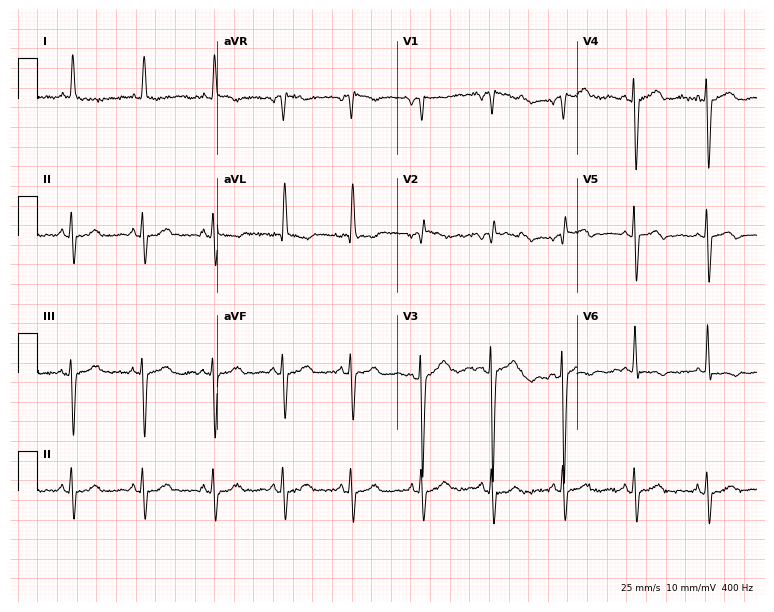
Standard 12-lead ECG recorded from a female, 87 years old (7.3-second recording at 400 Hz). Read as a normal ECG.